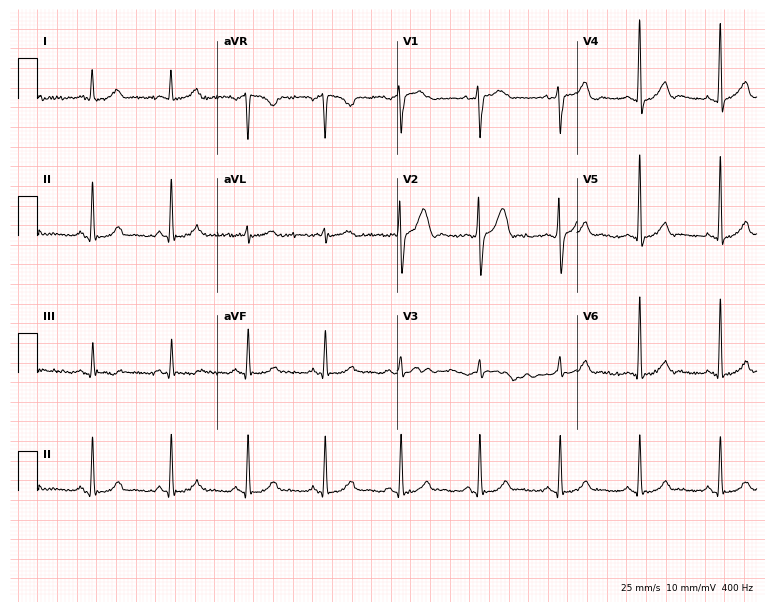
Resting 12-lead electrocardiogram (7.3-second recording at 400 Hz). Patient: a 33-year-old man. Read as a normal ECG.